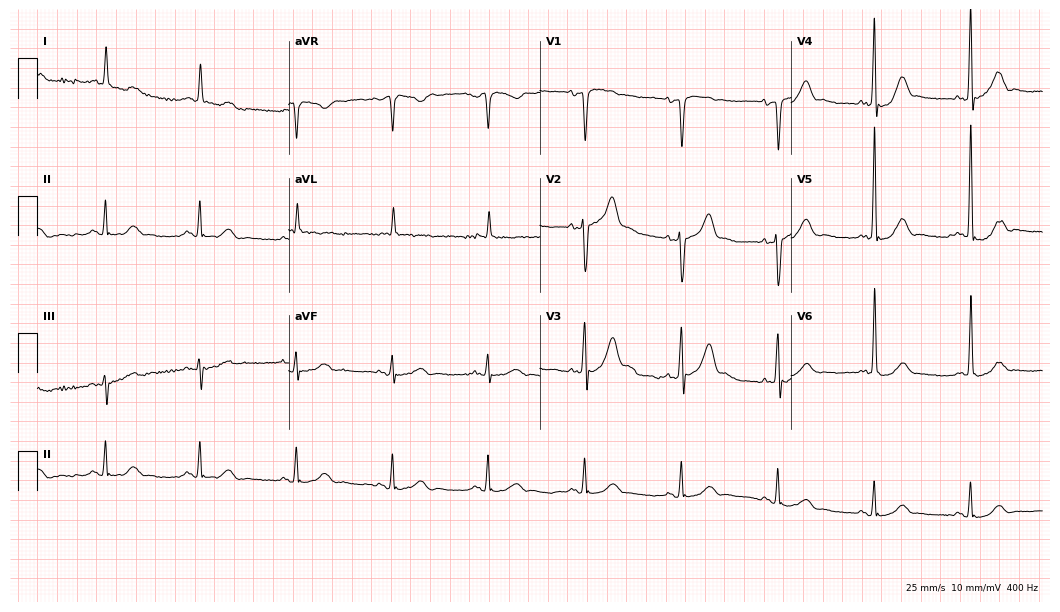
Resting 12-lead electrocardiogram (10.2-second recording at 400 Hz). Patient: an 80-year-old male. Read as a normal ECG.